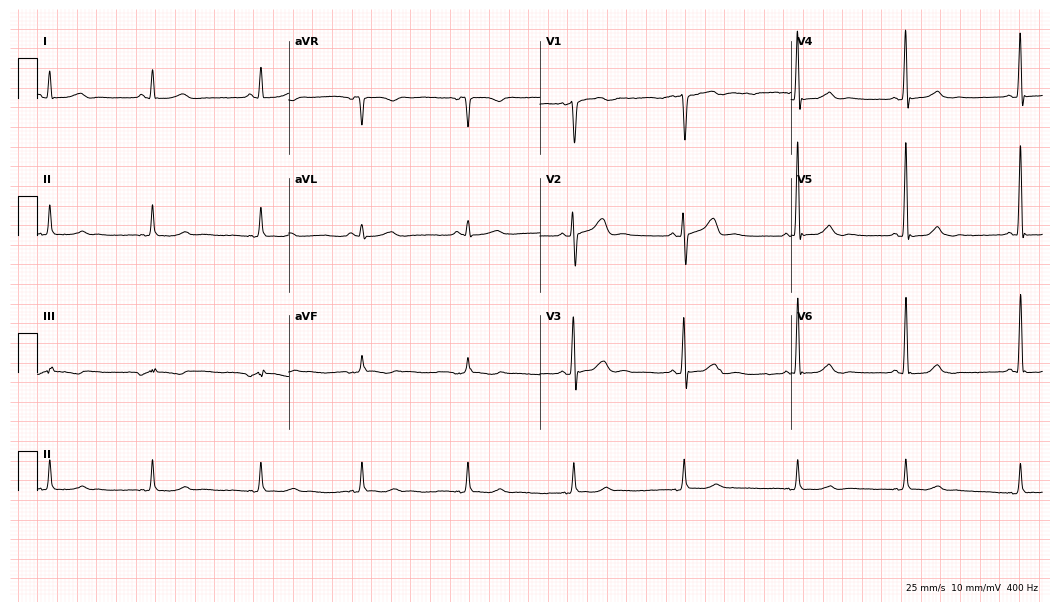
ECG (10.2-second recording at 400 Hz) — a 57-year-old male. Screened for six findings — first-degree AV block, right bundle branch block, left bundle branch block, sinus bradycardia, atrial fibrillation, sinus tachycardia — none is recorded.